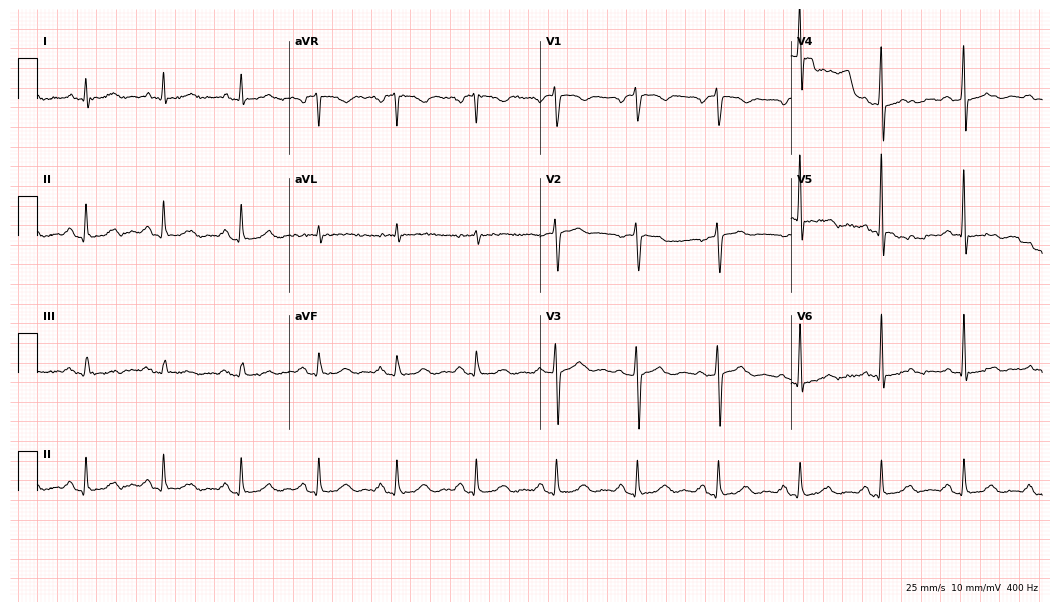
Standard 12-lead ECG recorded from a male patient, 66 years old. None of these six findings is recorded: first-degree AV block, right bundle branch block, left bundle branch block, sinus bradycardia, atrial fibrillation, sinus tachycardia.